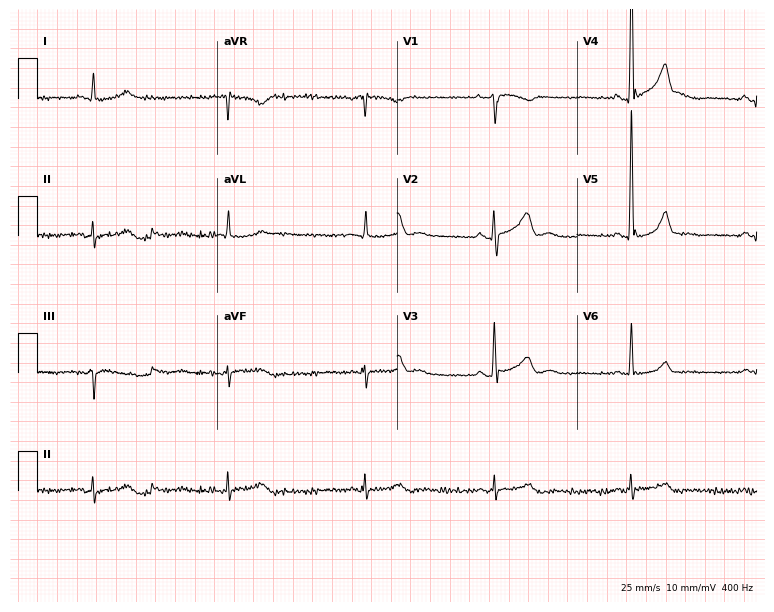
ECG — a male, 45 years old. Findings include sinus bradycardia (a sinus rate of 50 beats per minute or less).